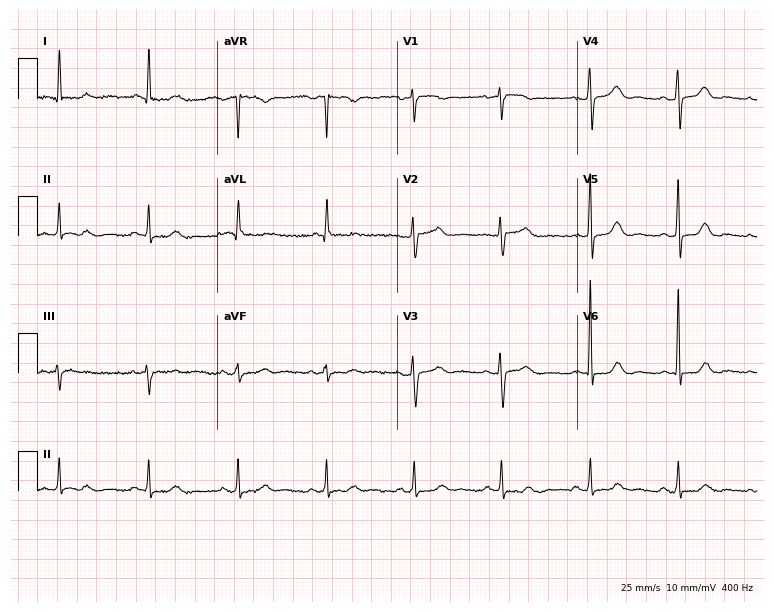
12-lead ECG from a female, 78 years old (7.3-second recording at 400 Hz). Recorded interpretation: within normal limits.